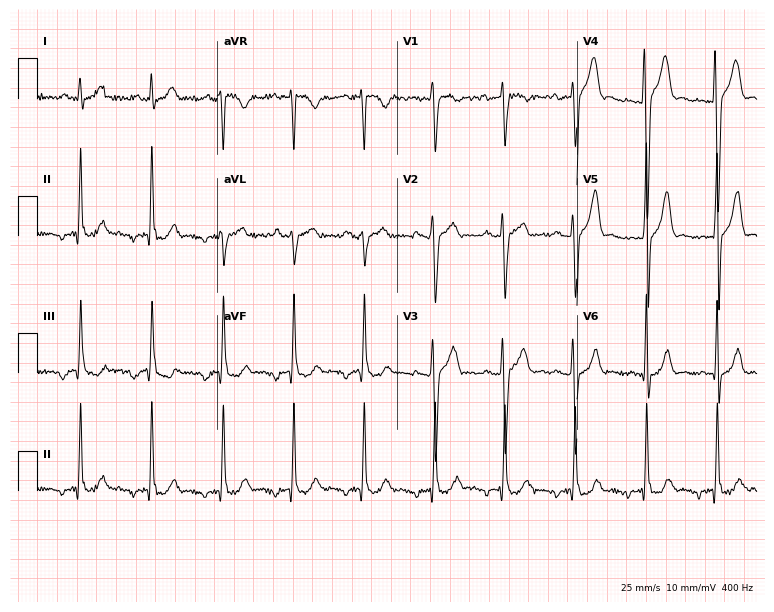
12-lead ECG from a man, 35 years old (7.3-second recording at 400 Hz). No first-degree AV block, right bundle branch block (RBBB), left bundle branch block (LBBB), sinus bradycardia, atrial fibrillation (AF) or sinus tachycardia recorded for this tracing.